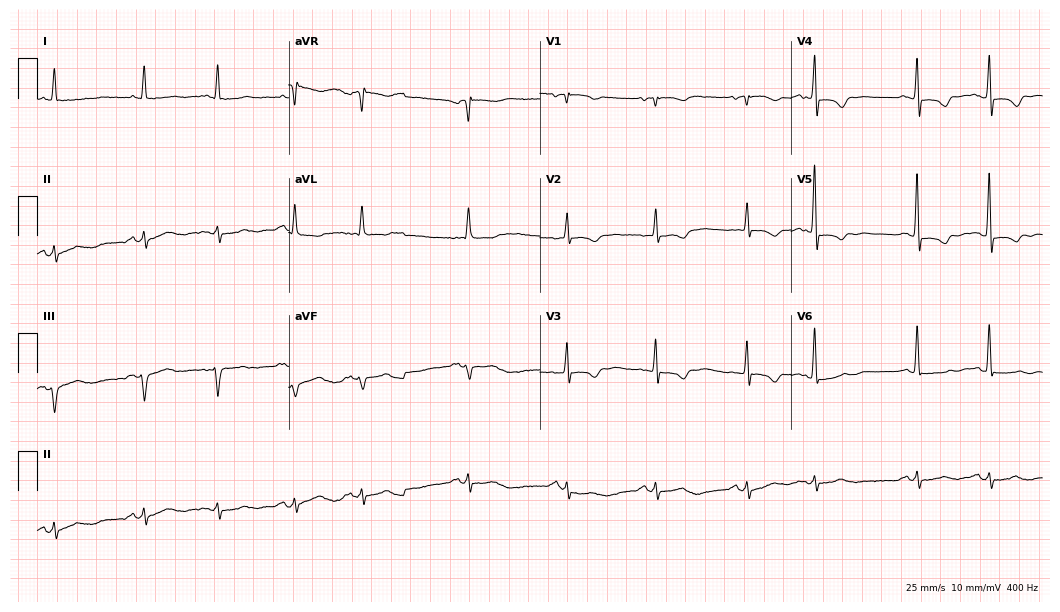
Resting 12-lead electrocardiogram. Patient: a 78-year-old female. None of these six findings is recorded: first-degree AV block, right bundle branch block, left bundle branch block, sinus bradycardia, atrial fibrillation, sinus tachycardia.